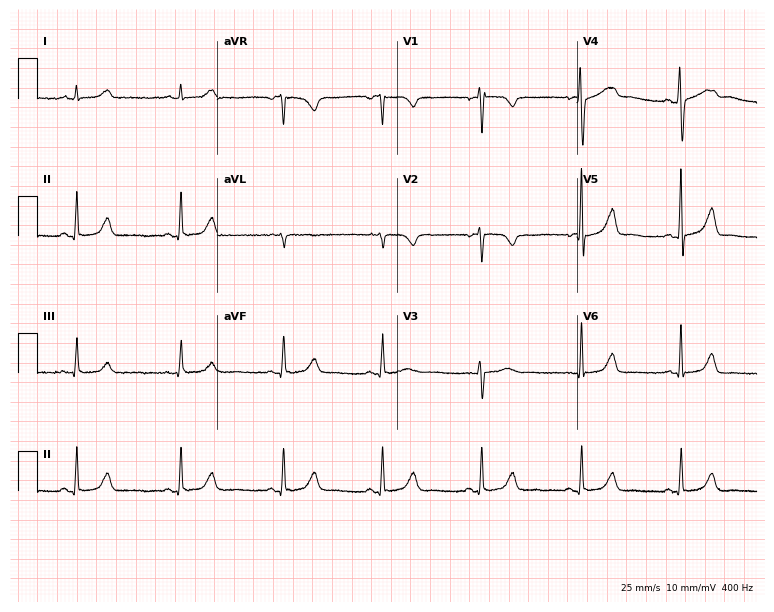
12-lead ECG from a 52-year-old female patient. Labelled as a normal ECG.